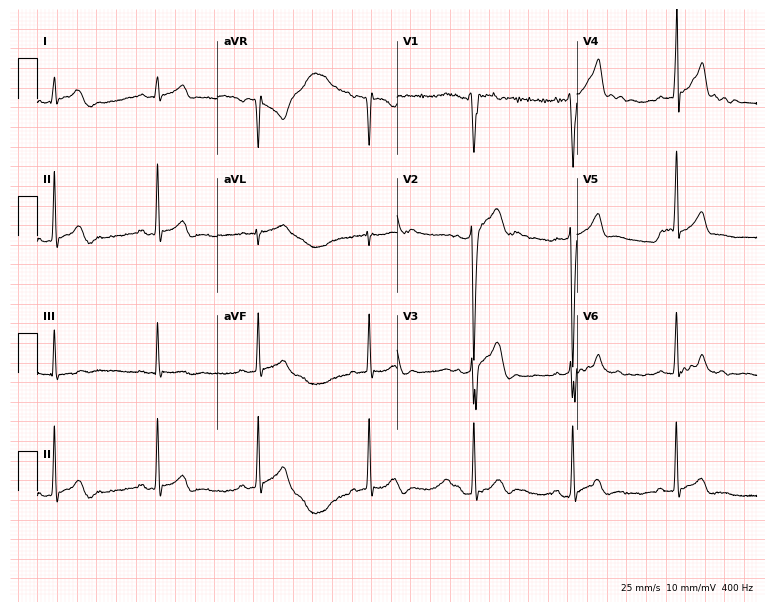
12-lead ECG from a 17-year-old man. Labelled as a normal ECG.